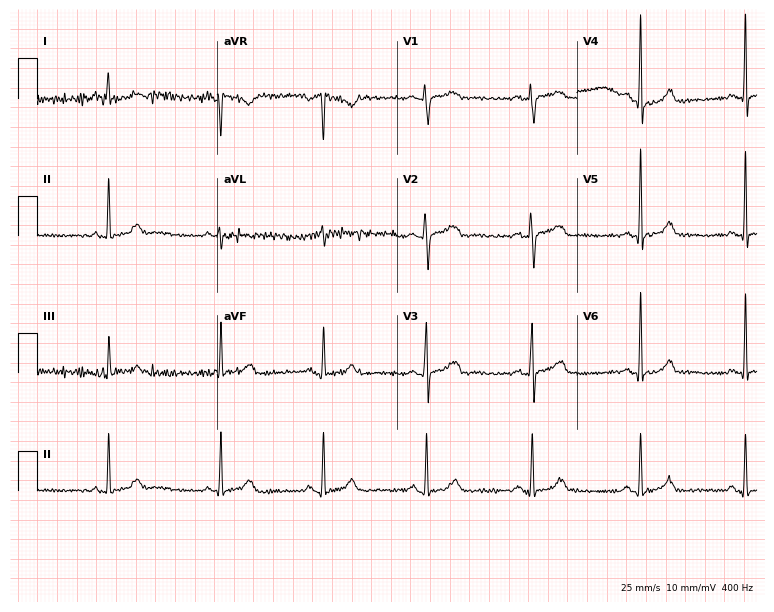
ECG — a woman, 34 years old. Screened for six findings — first-degree AV block, right bundle branch block (RBBB), left bundle branch block (LBBB), sinus bradycardia, atrial fibrillation (AF), sinus tachycardia — none is recorded.